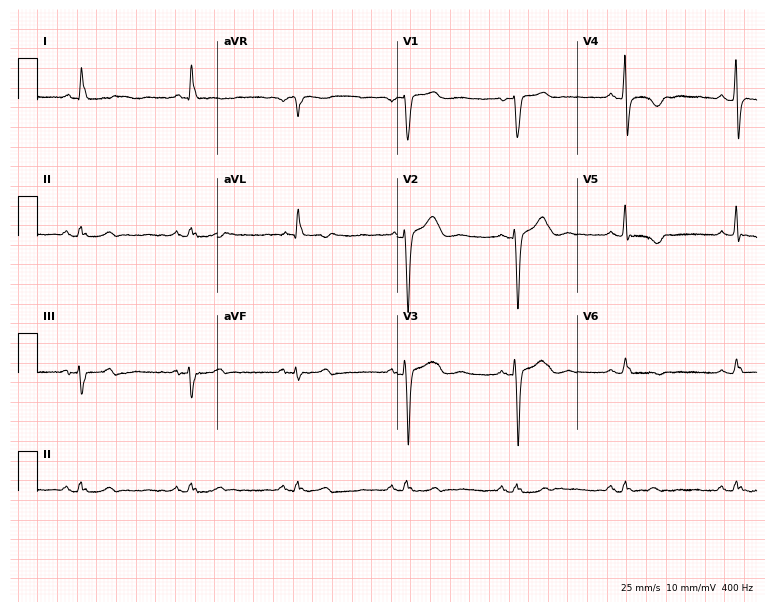
Standard 12-lead ECG recorded from a man, 64 years old (7.3-second recording at 400 Hz). None of these six findings is recorded: first-degree AV block, right bundle branch block, left bundle branch block, sinus bradycardia, atrial fibrillation, sinus tachycardia.